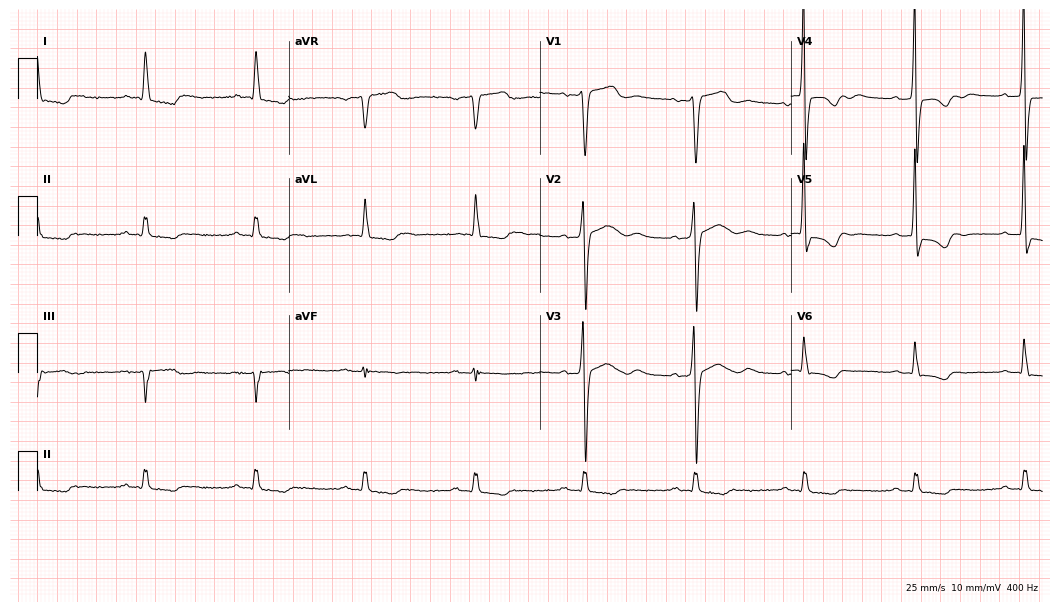
12-lead ECG (10.2-second recording at 400 Hz) from a female patient, 63 years old. Screened for six findings — first-degree AV block, right bundle branch block (RBBB), left bundle branch block (LBBB), sinus bradycardia, atrial fibrillation (AF), sinus tachycardia — none is recorded.